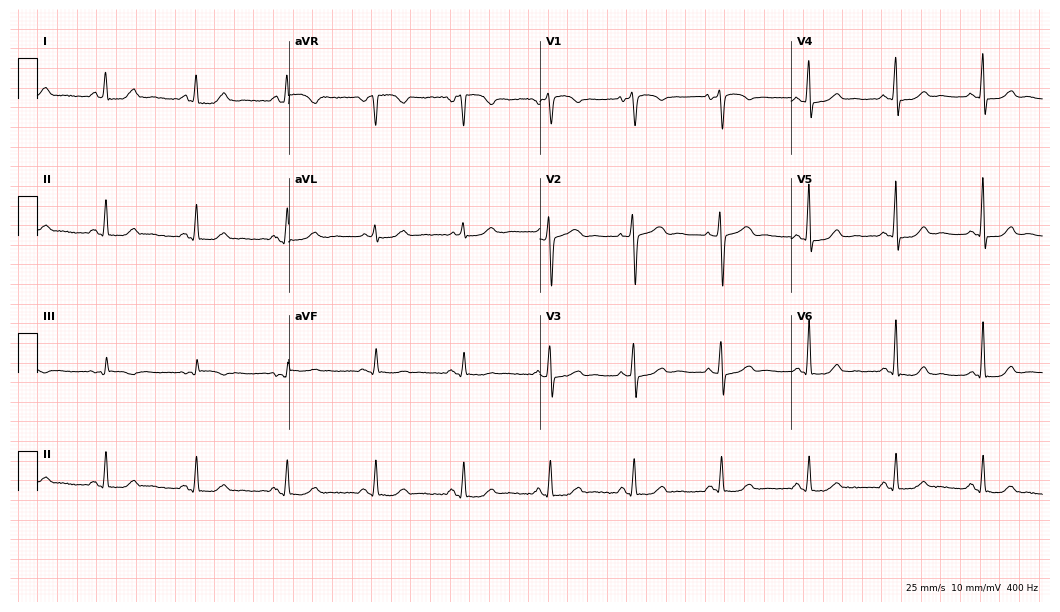
Resting 12-lead electrocardiogram. Patient: a 71-year-old female. Read as a normal ECG.